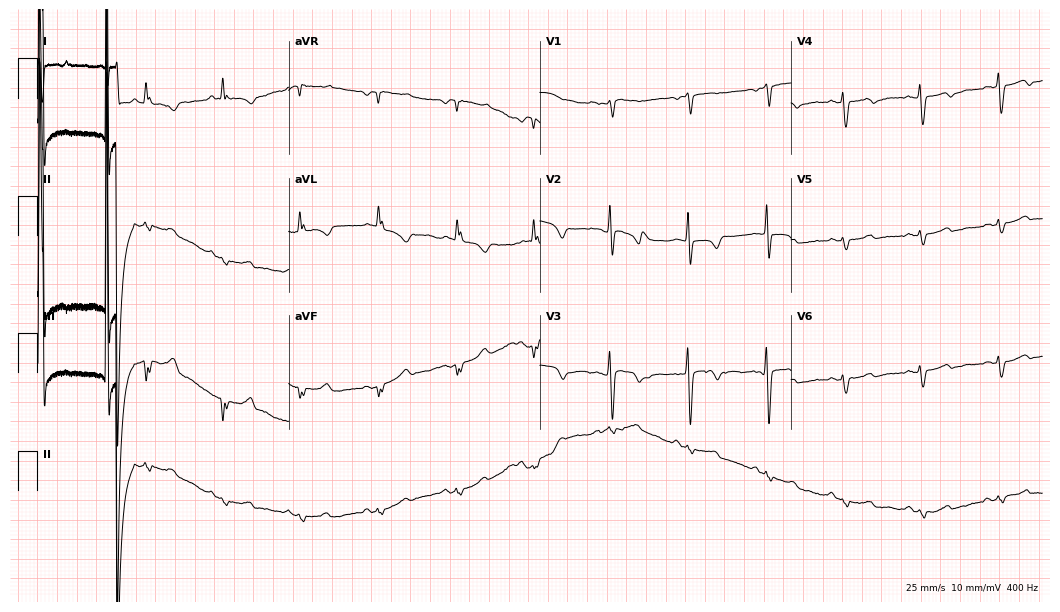
12-lead ECG (10.2-second recording at 400 Hz) from a 76-year-old woman. Screened for six findings — first-degree AV block, right bundle branch block, left bundle branch block, sinus bradycardia, atrial fibrillation, sinus tachycardia — none is recorded. Findings outside these six are not listed.